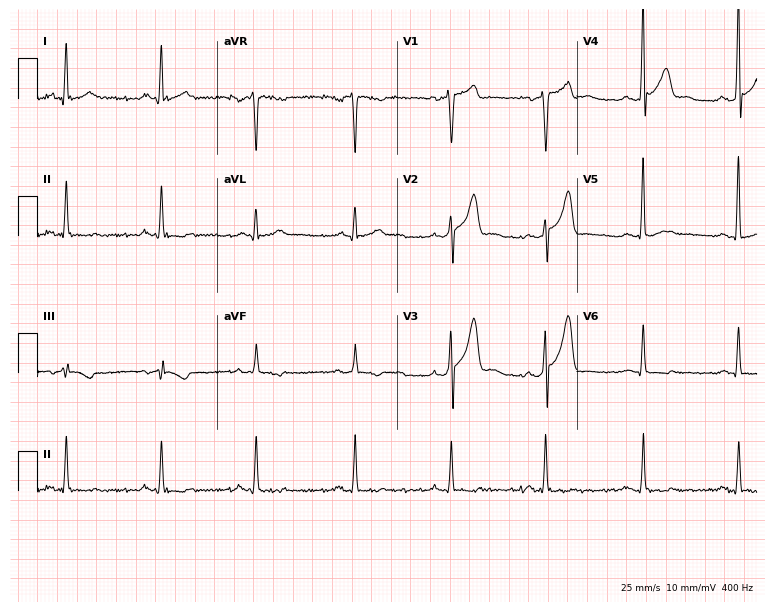
12-lead ECG from a man, 41 years old. Screened for six findings — first-degree AV block, right bundle branch block, left bundle branch block, sinus bradycardia, atrial fibrillation, sinus tachycardia — none is recorded.